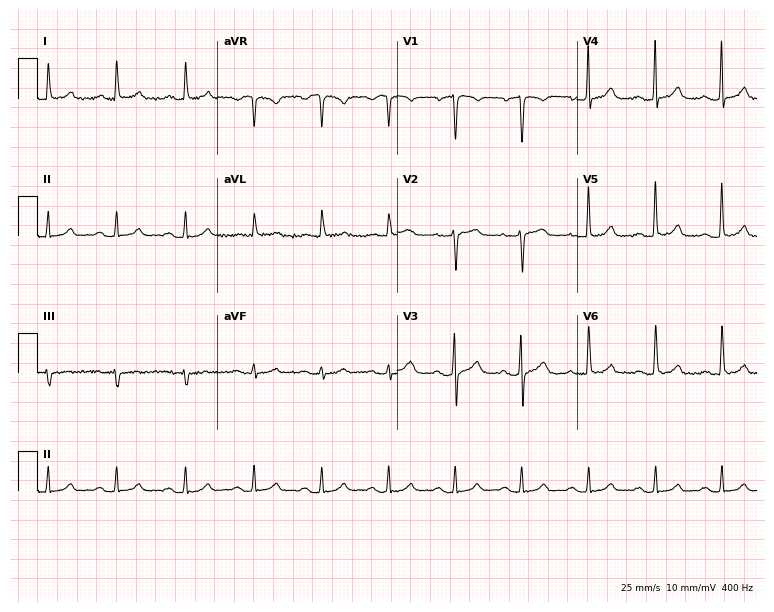
ECG (7.3-second recording at 400 Hz) — a 46-year-old male patient. Labelled as a normal ECG.